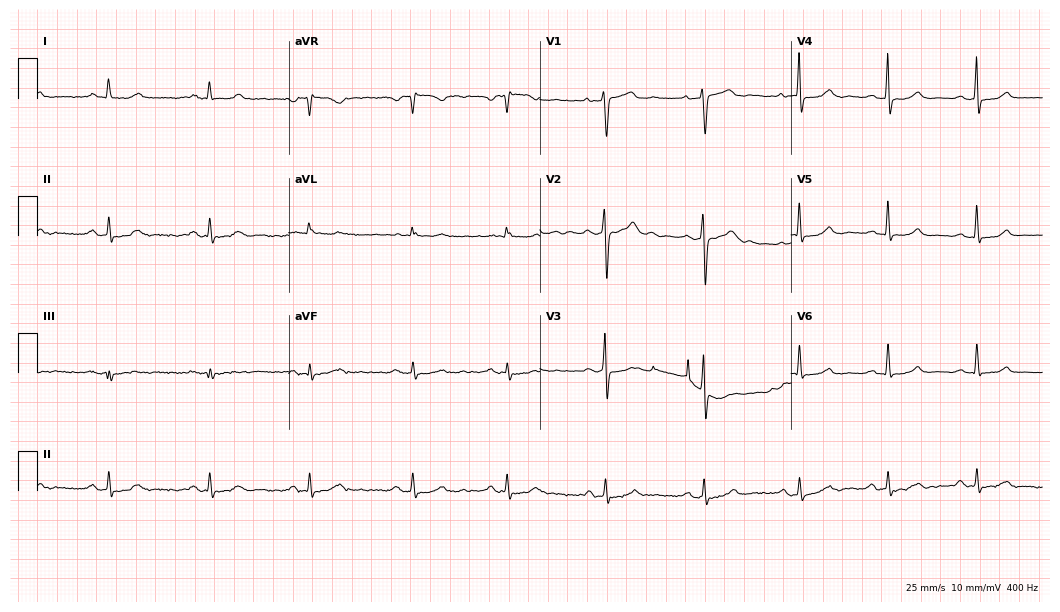
Electrocardiogram (10.2-second recording at 400 Hz), a 35-year-old woman. Overall reading on record: normal ECG.